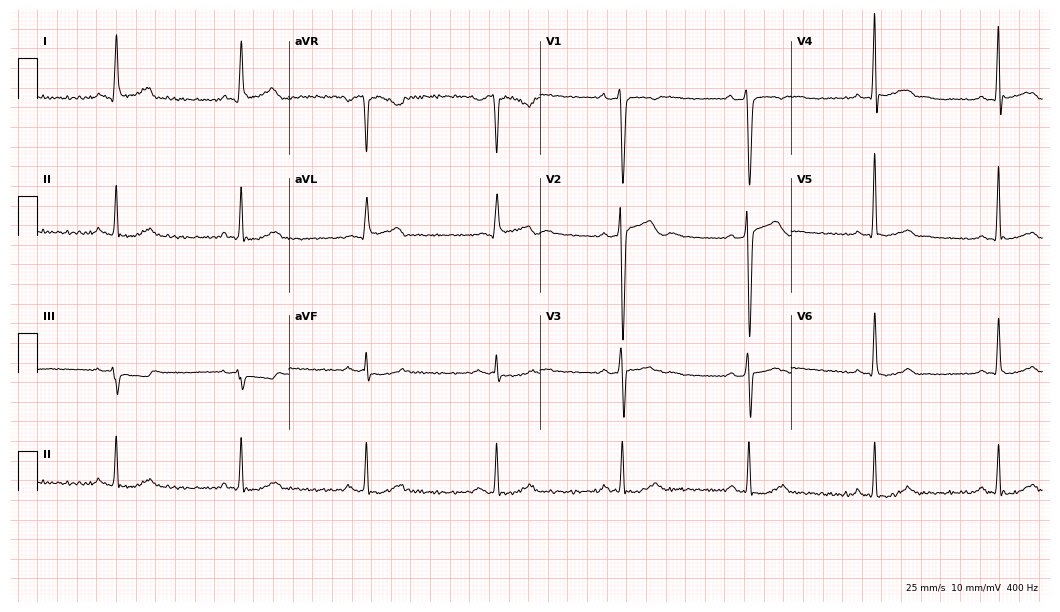
ECG — a 37-year-old man. Findings include sinus bradycardia (a sinus rate of 50 beats per minute or less).